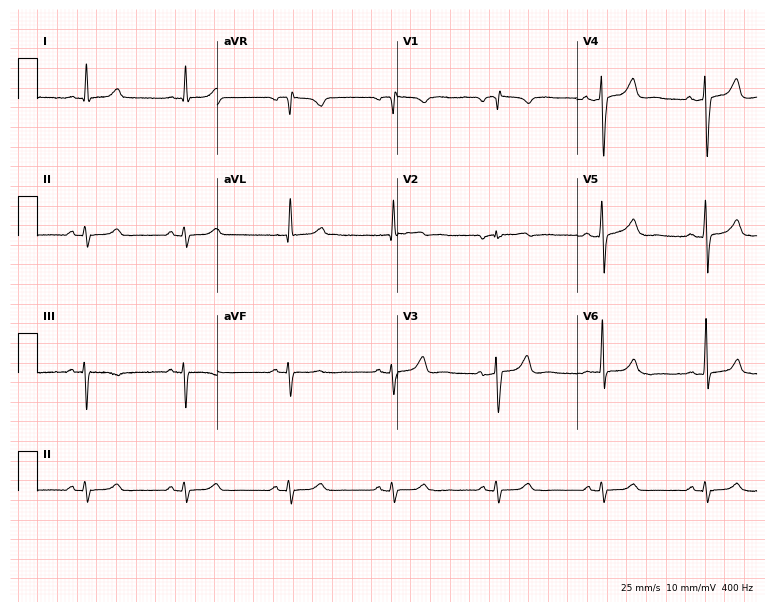
ECG (7.3-second recording at 400 Hz) — a male patient, 68 years old. Screened for six findings — first-degree AV block, right bundle branch block, left bundle branch block, sinus bradycardia, atrial fibrillation, sinus tachycardia — none is recorded. Findings outside these six are not listed.